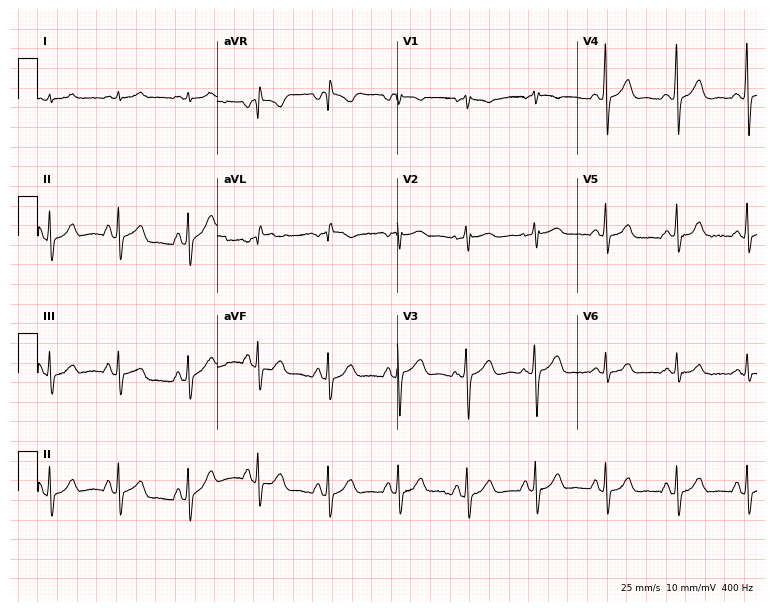
Resting 12-lead electrocardiogram (7.3-second recording at 400 Hz). Patient: a 60-year-old male. Read as a normal ECG.